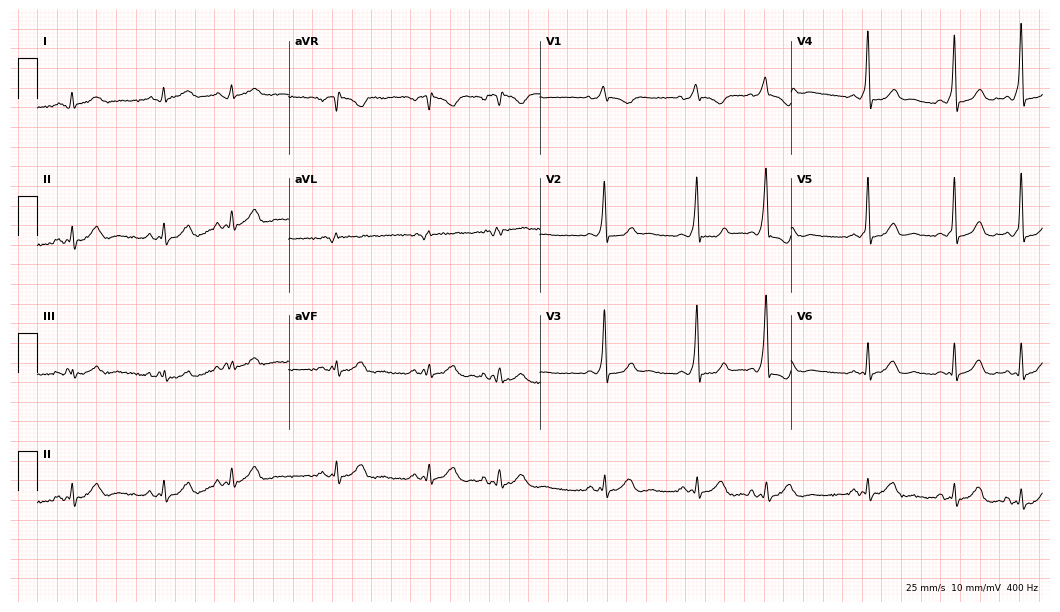
ECG (10.2-second recording at 400 Hz) — a female, 47 years old. Screened for six findings — first-degree AV block, right bundle branch block, left bundle branch block, sinus bradycardia, atrial fibrillation, sinus tachycardia — none is recorded. Only these six findings were labelled.